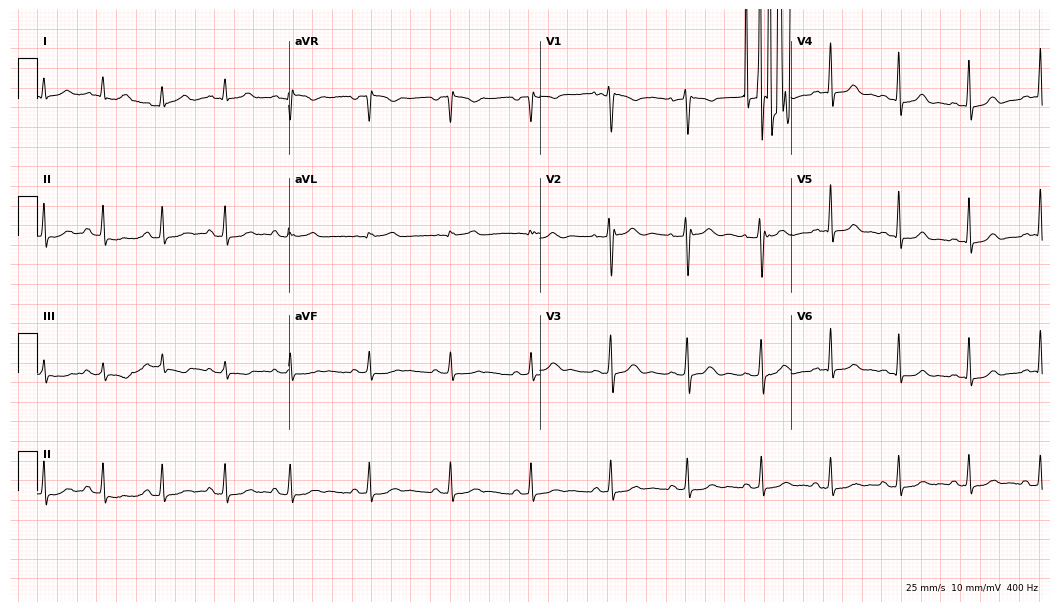
Electrocardiogram, a woman, 25 years old. Of the six screened findings (first-degree AV block, right bundle branch block (RBBB), left bundle branch block (LBBB), sinus bradycardia, atrial fibrillation (AF), sinus tachycardia), none is recorded. Other findings, if any, are not listed.